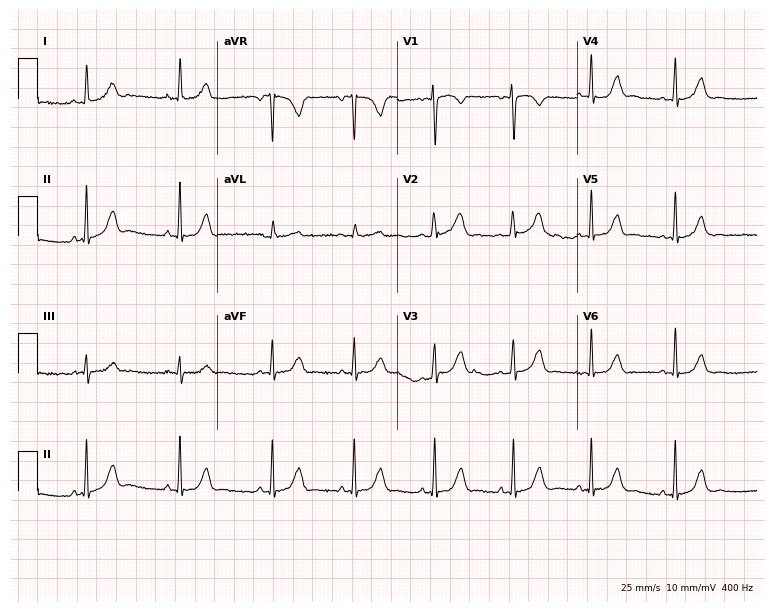
Standard 12-lead ECG recorded from a female, 29 years old. Read as a normal ECG.